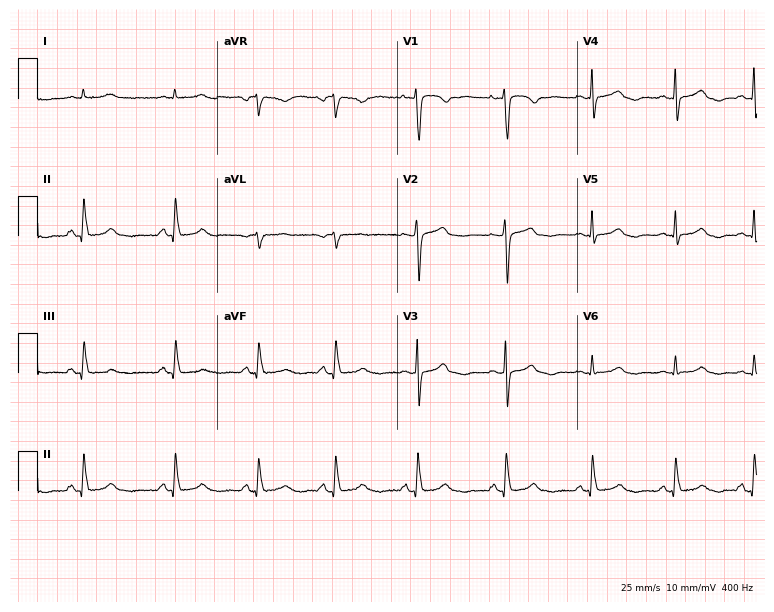
12-lead ECG from a 51-year-old female patient (7.3-second recording at 400 Hz). Recorded interpretation: within normal limits.